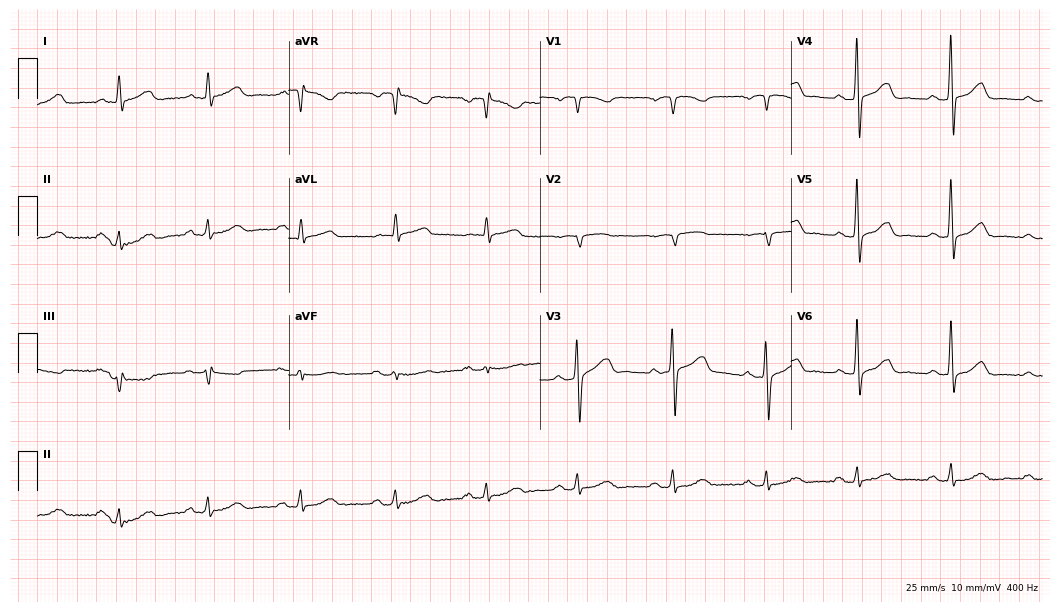
12-lead ECG from a 59-year-old man. Recorded interpretation: within normal limits.